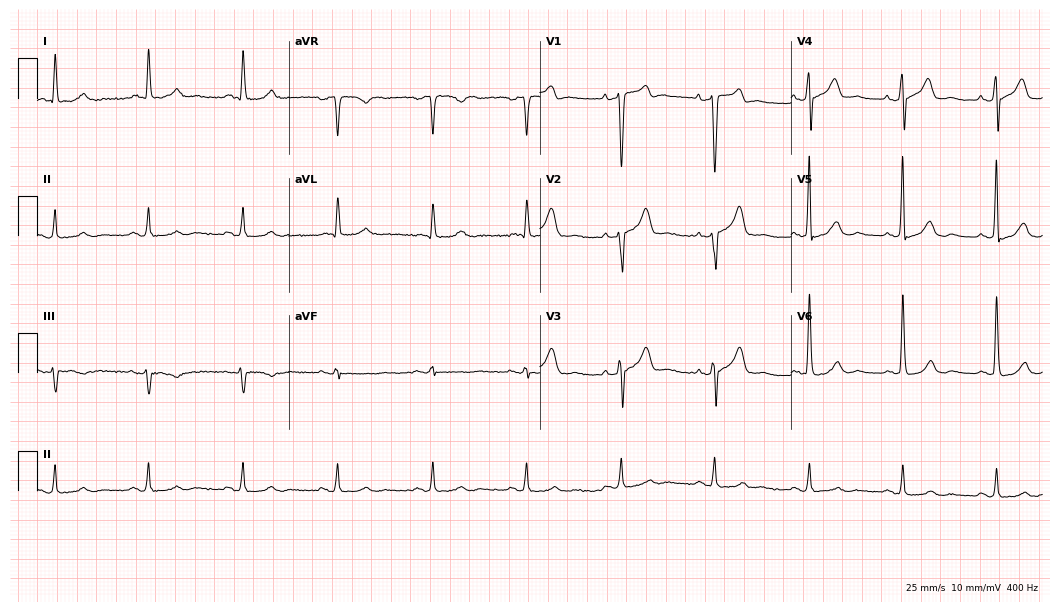
Standard 12-lead ECG recorded from a 67-year-old male patient (10.2-second recording at 400 Hz). Read as a normal ECG.